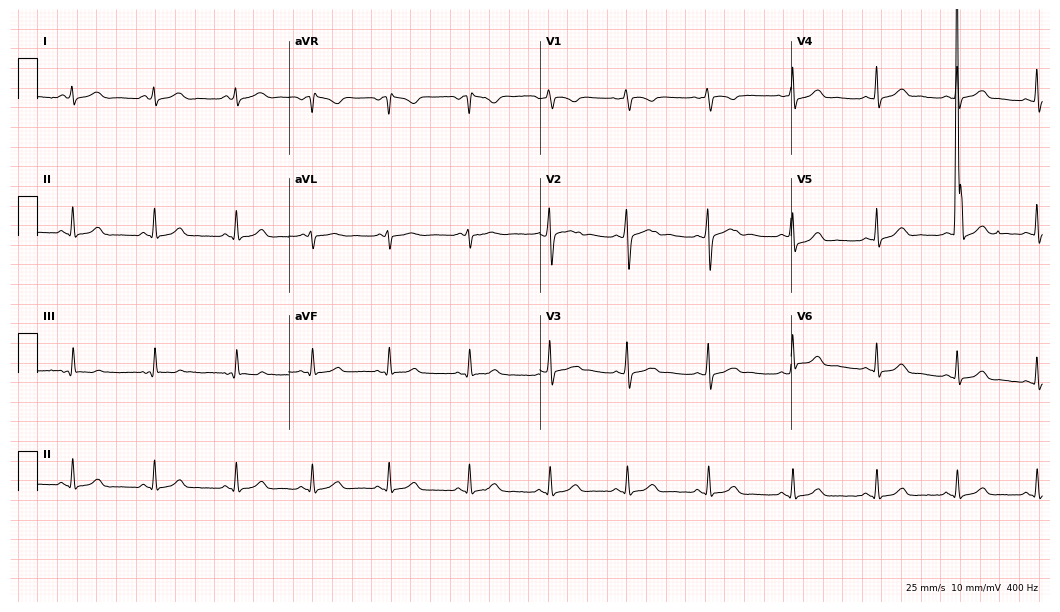
12-lead ECG from a 22-year-old female patient. No first-degree AV block, right bundle branch block, left bundle branch block, sinus bradycardia, atrial fibrillation or sinus tachycardia recorded for this tracing. Only these six findings were labelled.